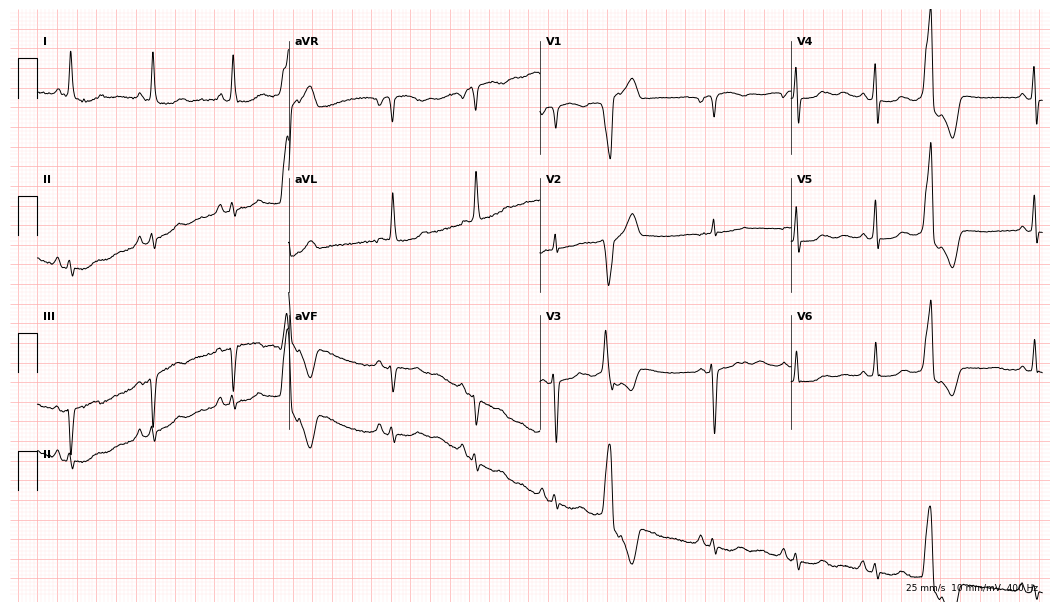
Electrocardiogram (10.2-second recording at 400 Hz), a 75-year-old woman. Of the six screened findings (first-degree AV block, right bundle branch block, left bundle branch block, sinus bradycardia, atrial fibrillation, sinus tachycardia), none is recorded.